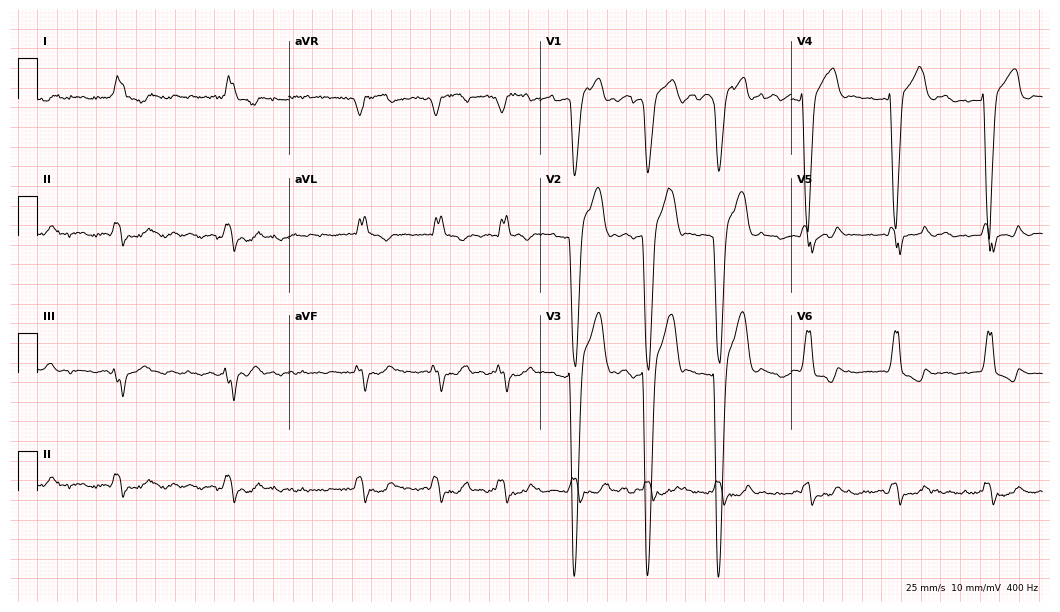
12-lead ECG (10.2-second recording at 400 Hz) from a 69-year-old man. Findings include left bundle branch block, atrial fibrillation.